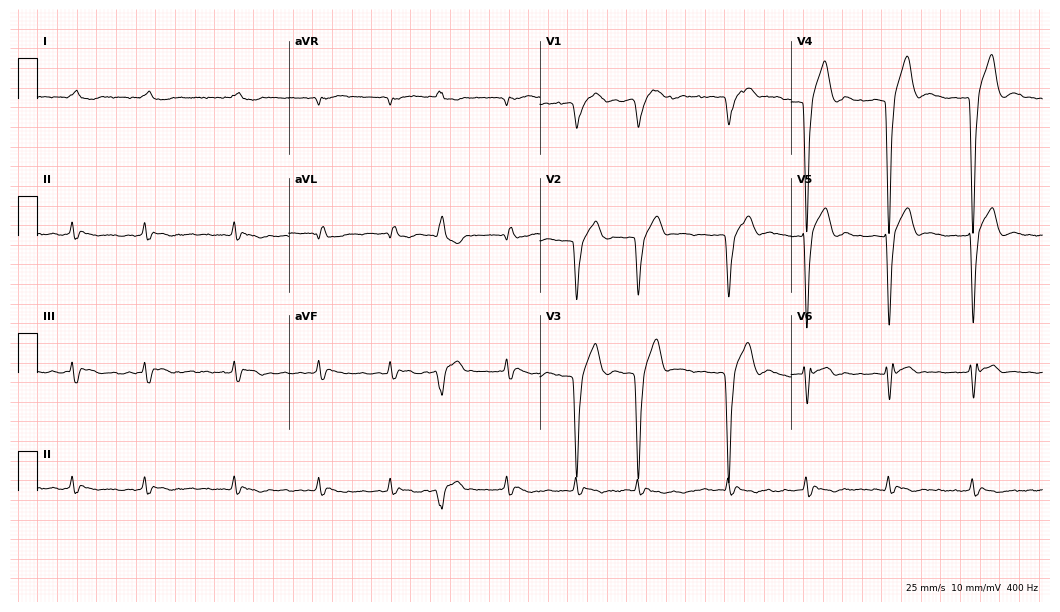
12-lead ECG from a female, 75 years old. Shows left bundle branch block, atrial fibrillation.